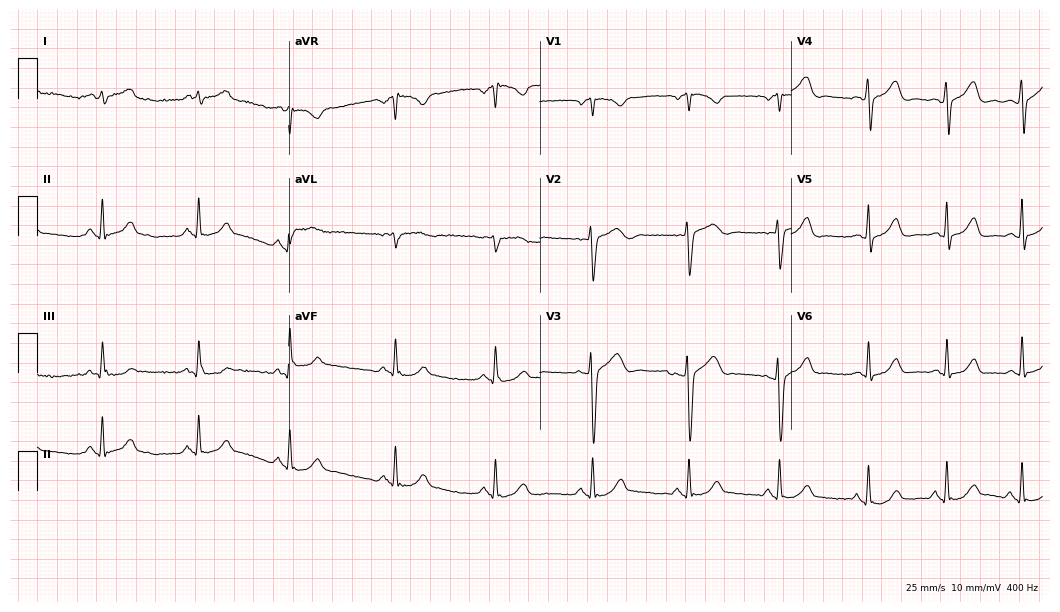
Resting 12-lead electrocardiogram (10.2-second recording at 400 Hz). Patient: a 47-year-old man. Read as a normal ECG.